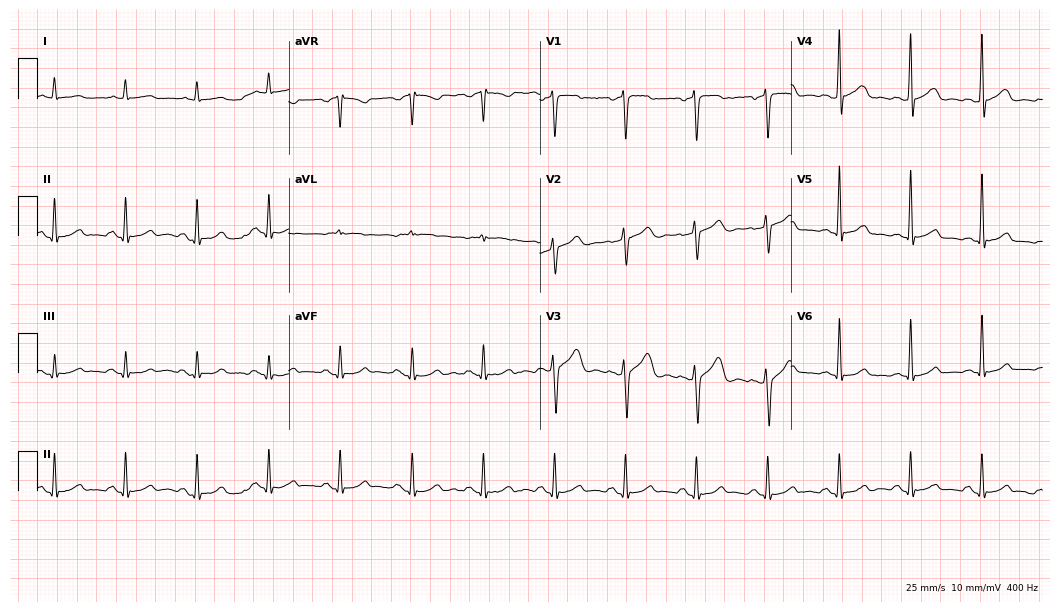
Standard 12-lead ECG recorded from a male patient, 48 years old (10.2-second recording at 400 Hz). Read as a normal ECG.